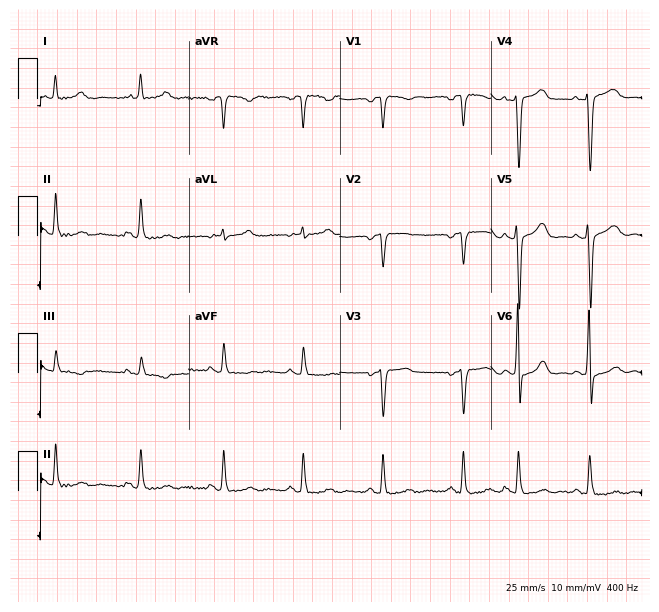
12-lead ECG from a 50-year-old female patient. Screened for six findings — first-degree AV block, right bundle branch block, left bundle branch block, sinus bradycardia, atrial fibrillation, sinus tachycardia — none is recorded.